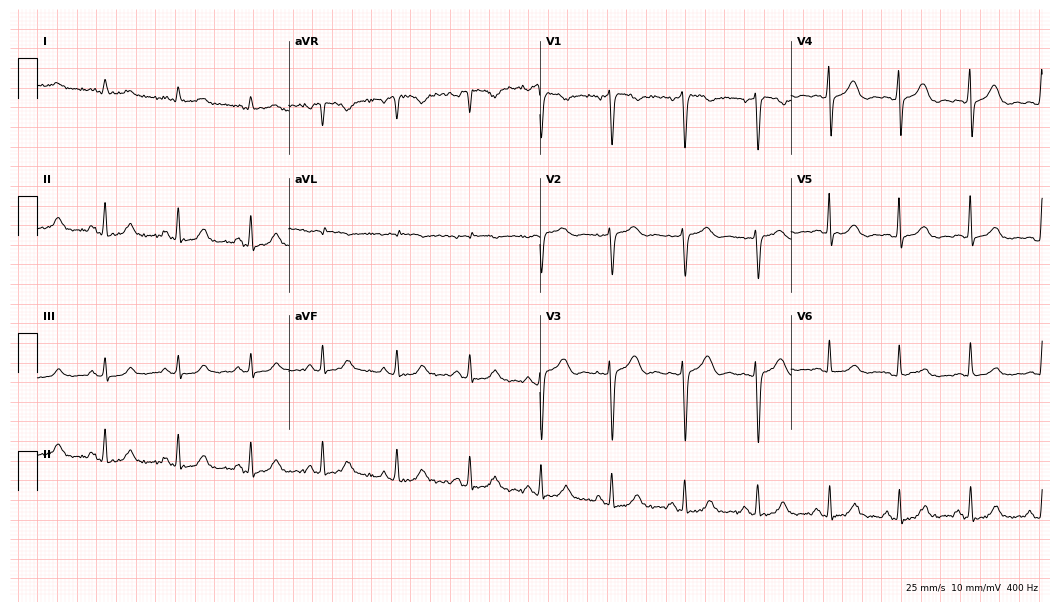
Standard 12-lead ECG recorded from a male patient, 58 years old (10.2-second recording at 400 Hz). Read as a normal ECG.